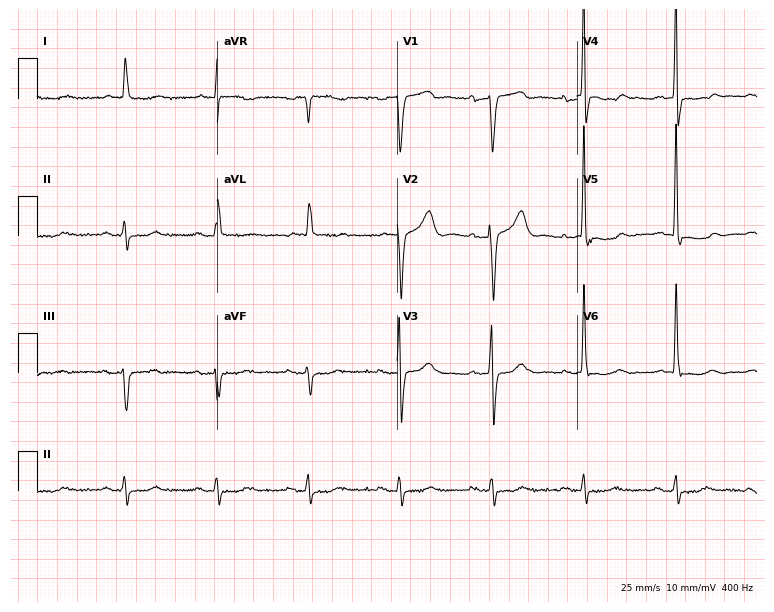
12-lead ECG from a 74-year-old man. No first-degree AV block, right bundle branch block, left bundle branch block, sinus bradycardia, atrial fibrillation or sinus tachycardia recorded for this tracing. Findings outside these six are not listed.